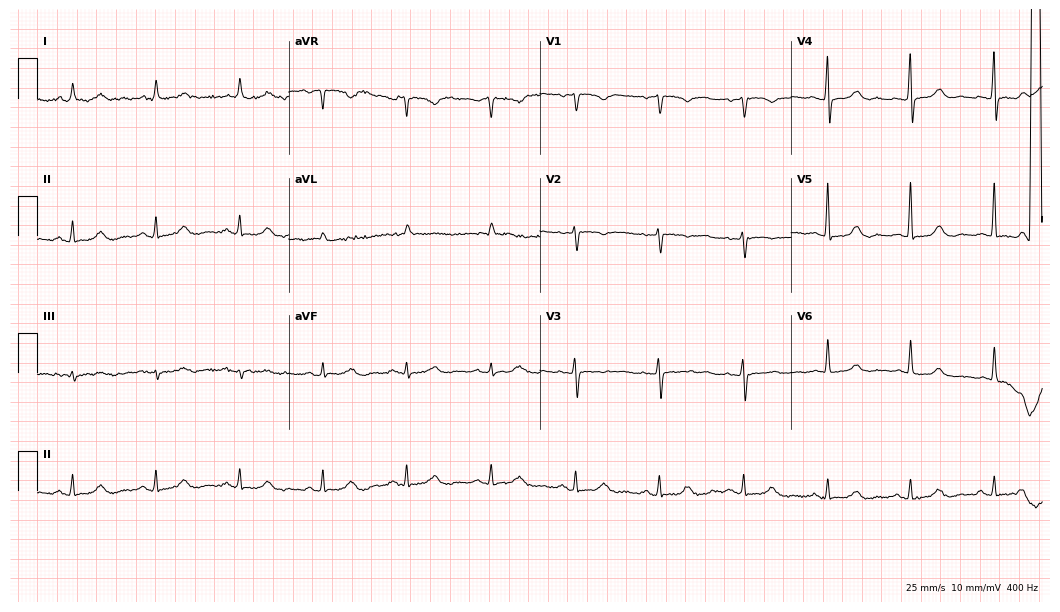
Standard 12-lead ECG recorded from a female, 85 years old. Read as a normal ECG.